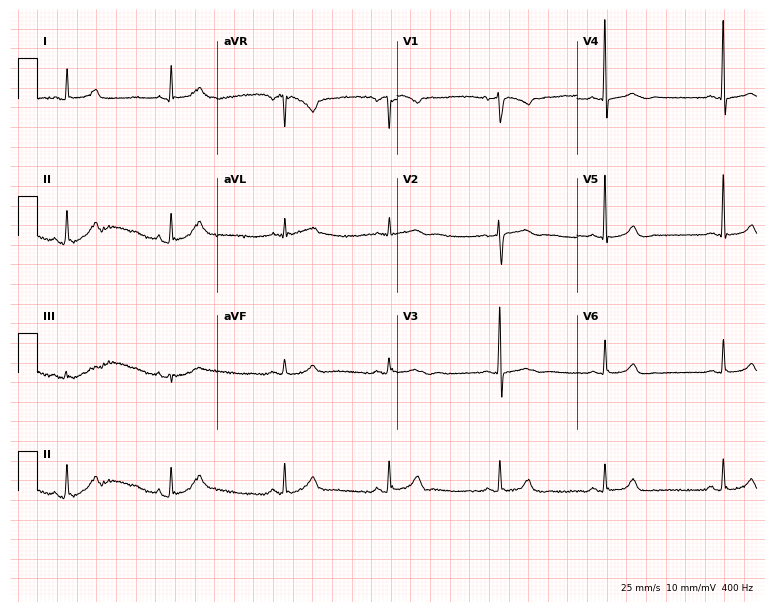
12-lead ECG from a 47-year-old woman. Recorded interpretation: within normal limits.